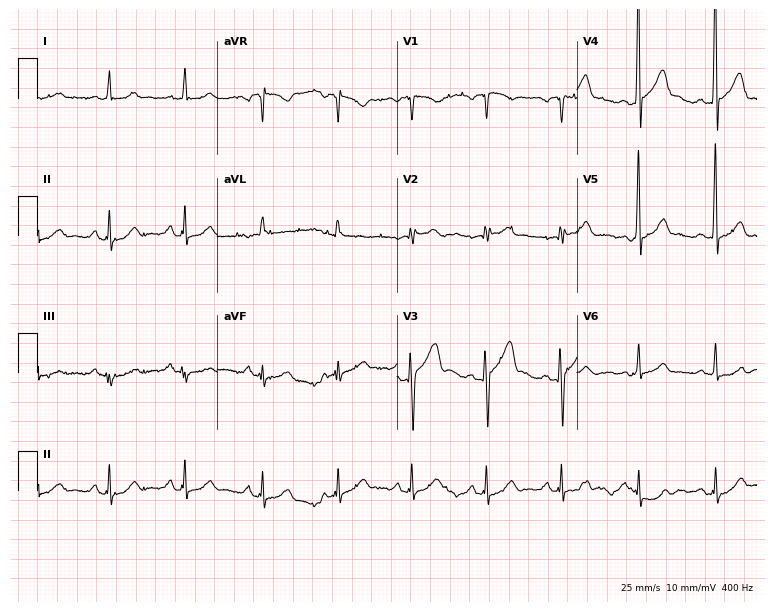
12-lead ECG (7.3-second recording at 400 Hz) from a 49-year-old male patient. Labelled as a normal ECG.